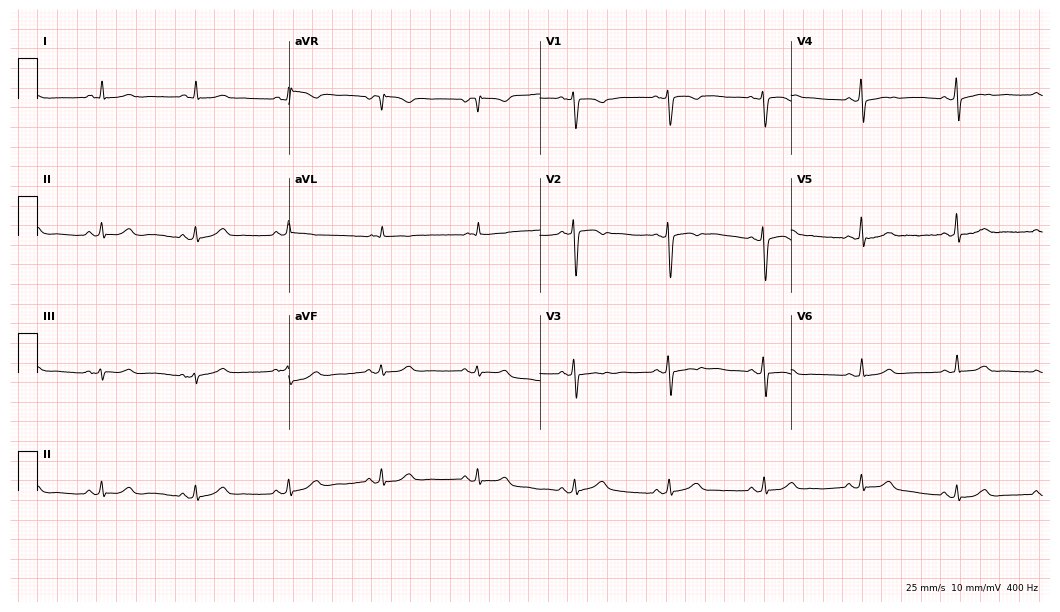
Electrocardiogram, a female patient, 55 years old. Of the six screened findings (first-degree AV block, right bundle branch block, left bundle branch block, sinus bradycardia, atrial fibrillation, sinus tachycardia), none is recorded. Only these six findings were labelled.